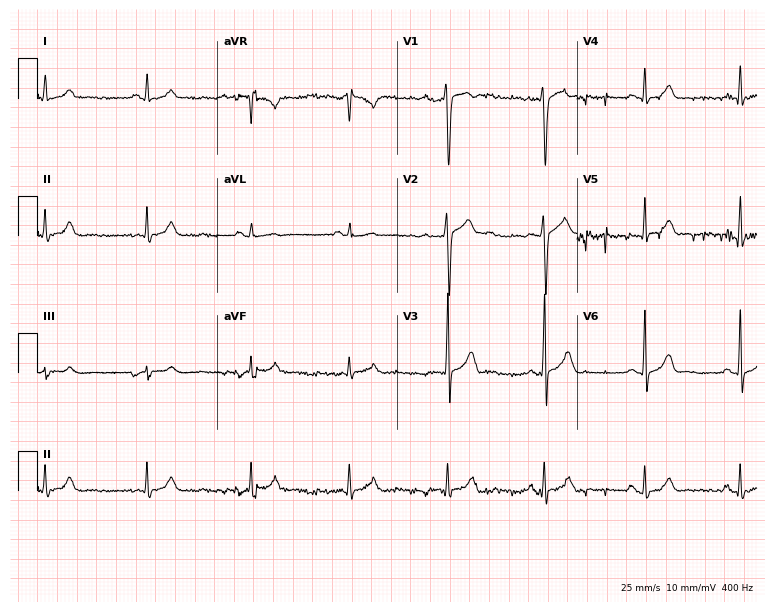
12-lead ECG from a man, 17 years old (7.3-second recording at 400 Hz). No first-degree AV block, right bundle branch block (RBBB), left bundle branch block (LBBB), sinus bradycardia, atrial fibrillation (AF) or sinus tachycardia recorded for this tracing. Only these six findings were labelled.